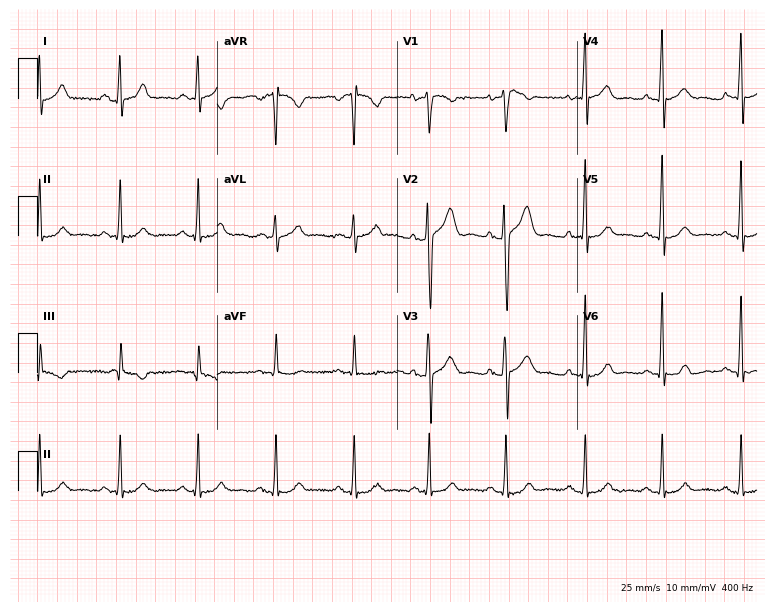
12-lead ECG from a male, 32 years old (7.3-second recording at 400 Hz). Recorded interpretation: within normal limits.